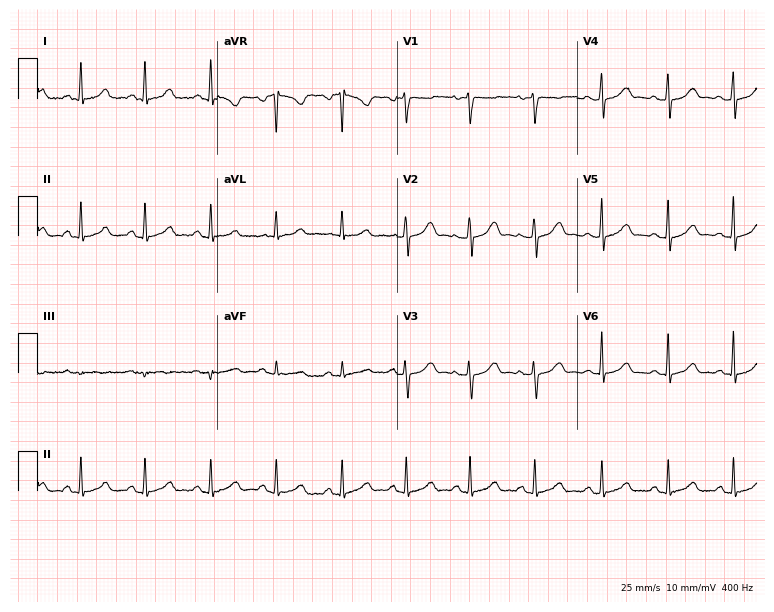
12-lead ECG (7.3-second recording at 400 Hz) from a 30-year-old woman. Labelled as a normal ECG.